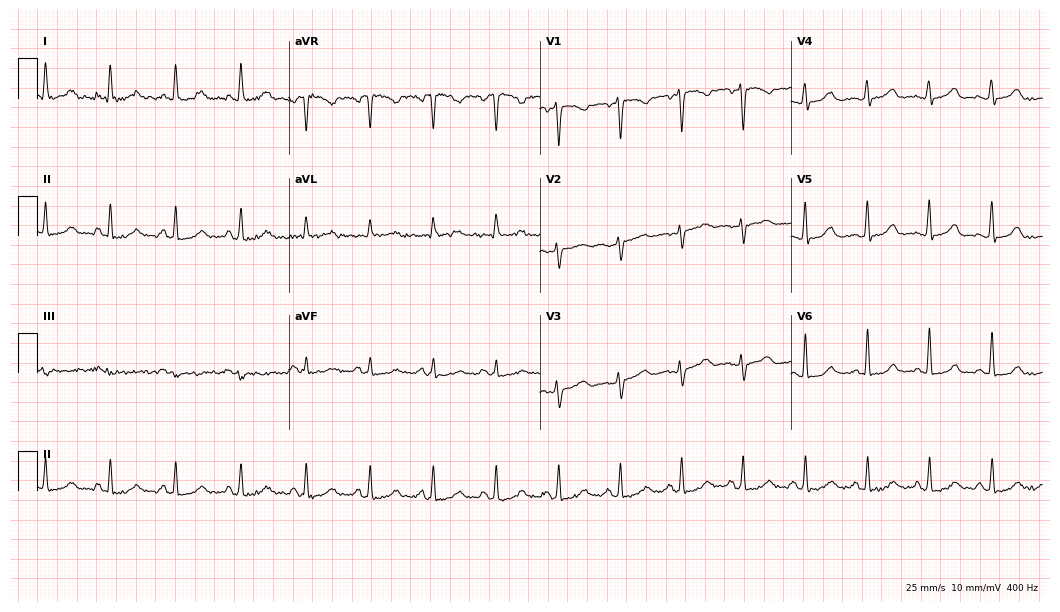
12-lead ECG (10.2-second recording at 400 Hz) from a woman, 48 years old. Labelled as a normal ECG.